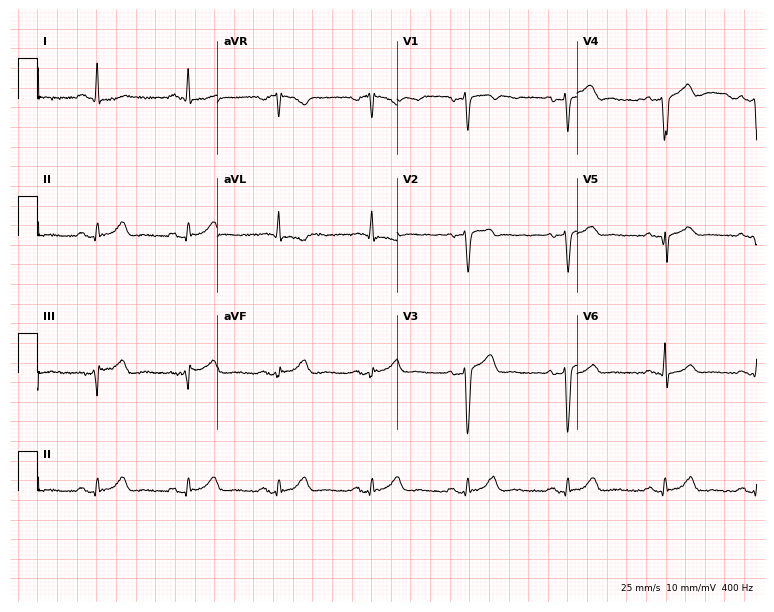
Electrocardiogram (7.3-second recording at 400 Hz), a male patient, 40 years old. Of the six screened findings (first-degree AV block, right bundle branch block, left bundle branch block, sinus bradycardia, atrial fibrillation, sinus tachycardia), none is recorded.